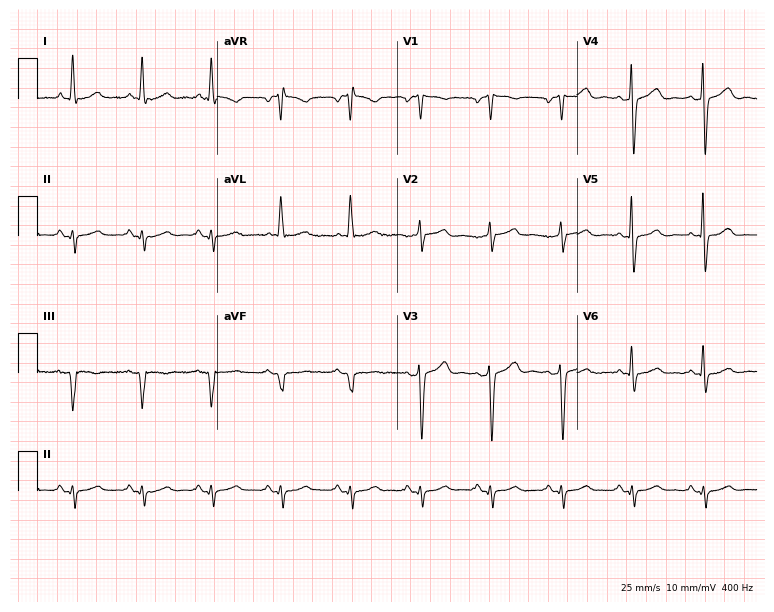
Electrocardiogram, a 66-year-old male patient. Of the six screened findings (first-degree AV block, right bundle branch block, left bundle branch block, sinus bradycardia, atrial fibrillation, sinus tachycardia), none is recorded. Only these six findings were labelled.